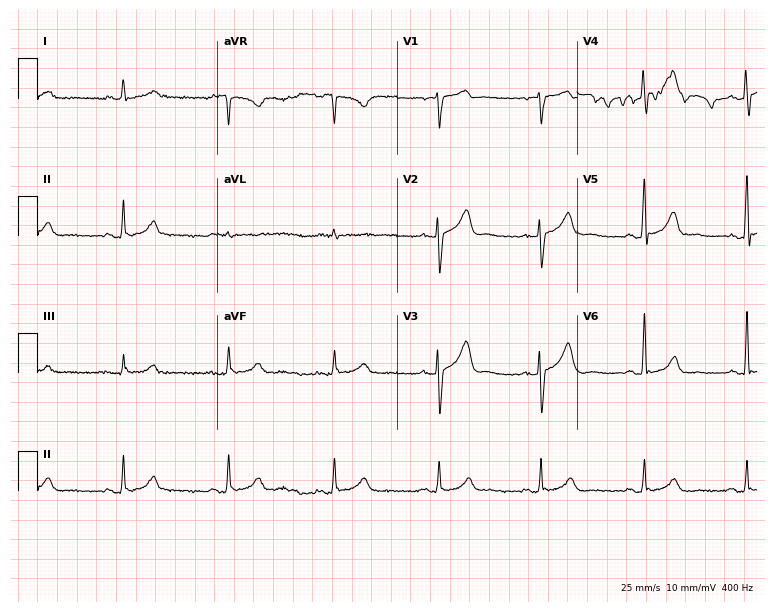
ECG — a man, 48 years old. Labelled as a normal ECG.